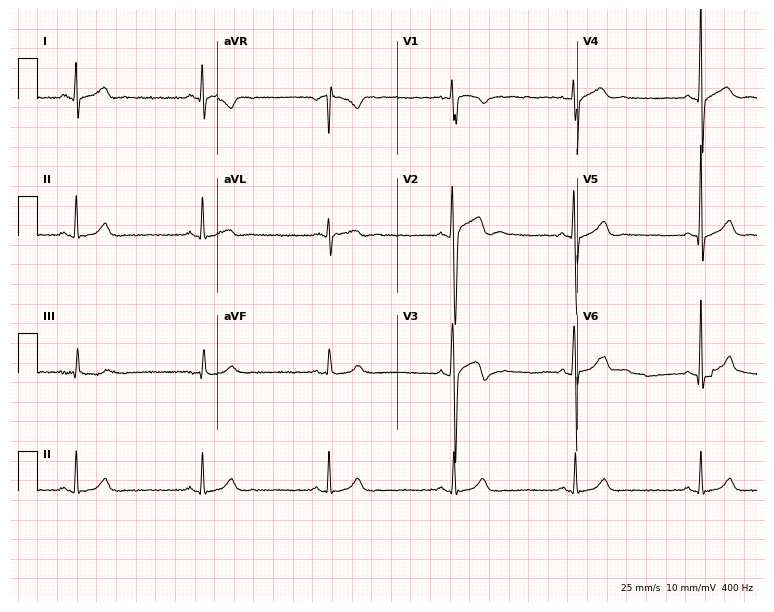
ECG (7.3-second recording at 400 Hz) — a male patient, 33 years old. Findings include sinus bradycardia (a sinus rate of 50 beats per minute or less).